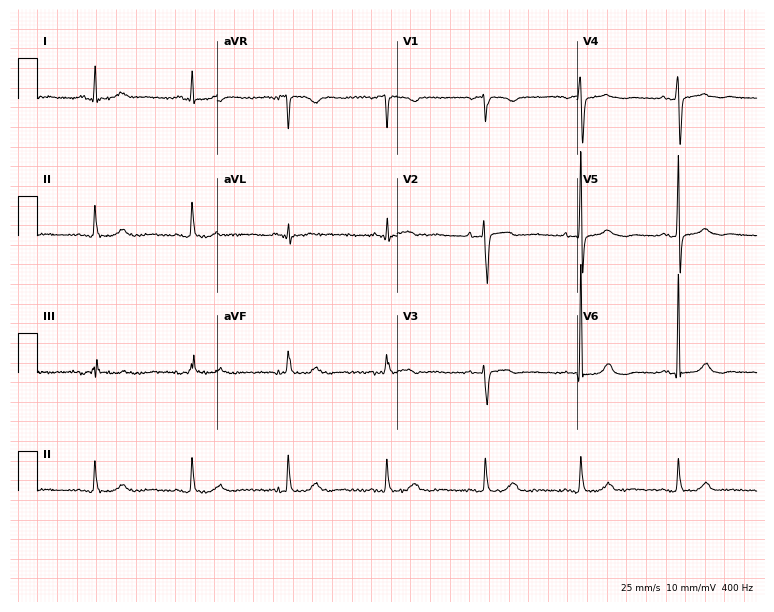
Standard 12-lead ECG recorded from a woman, 69 years old (7.3-second recording at 400 Hz). Read as a normal ECG.